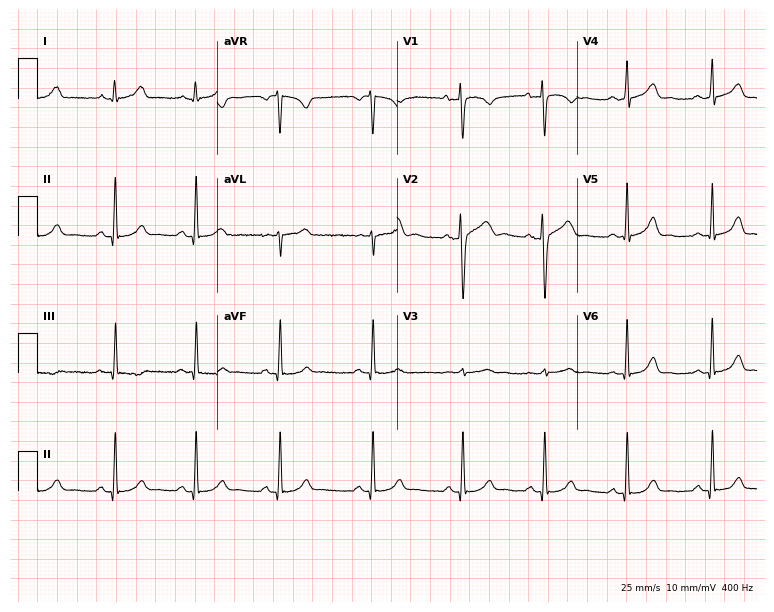
12-lead ECG from a female patient, 31 years old. Recorded interpretation: within normal limits.